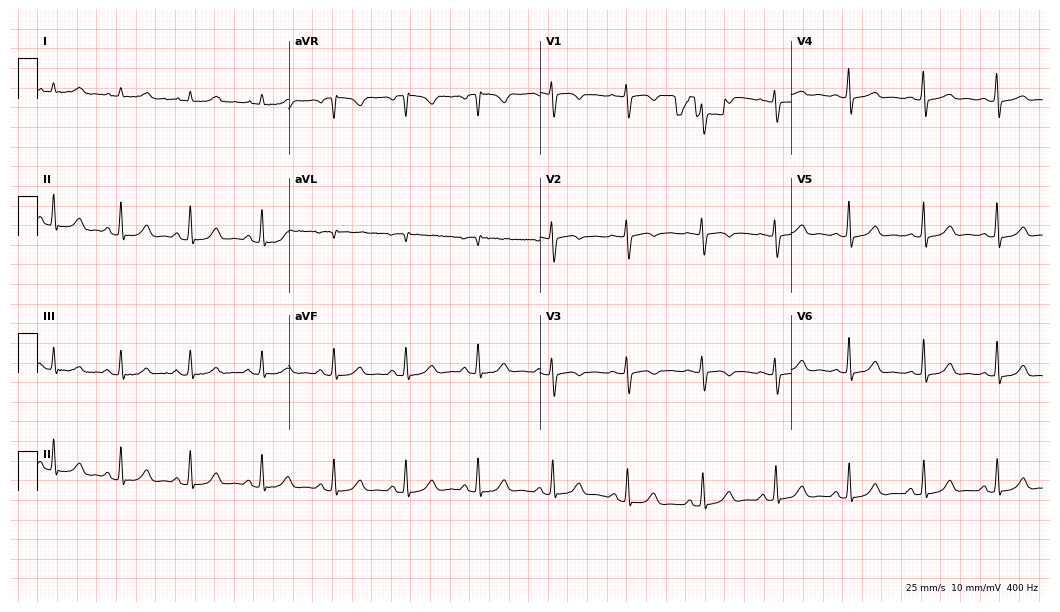
Resting 12-lead electrocardiogram (10.2-second recording at 400 Hz). Patient: a 36-year-old male. Read as a normal ECG.